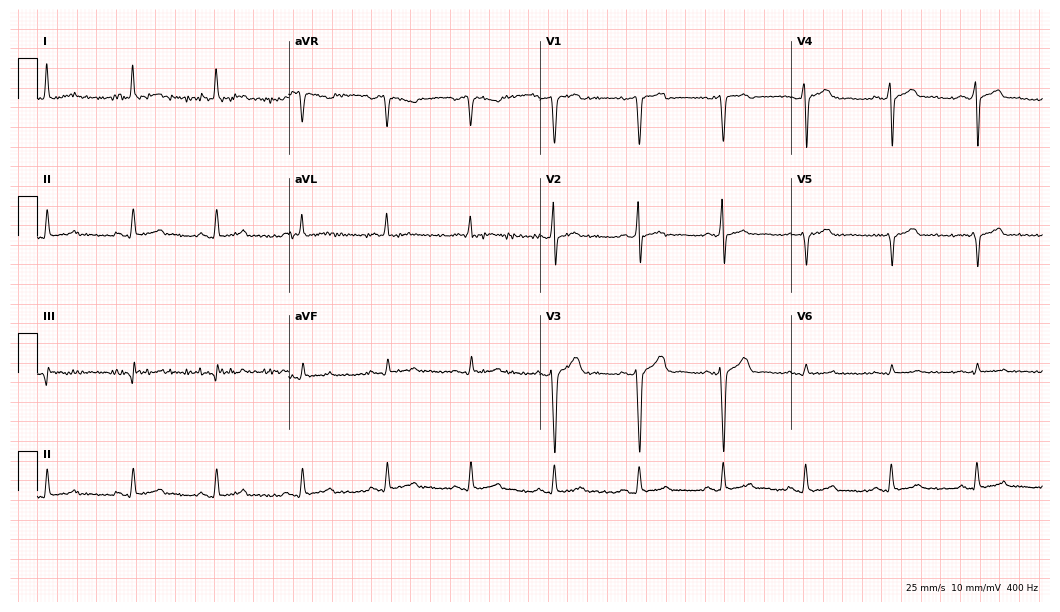
12-lead ECG from a male, 50 years old (10.2-second recording at 400 Hz). No first-degree AV block, right bundle branch block, left bundle branch block, sinus bradycardia, atrial fibrillation or sinus tachycardia recorded for this tracing.